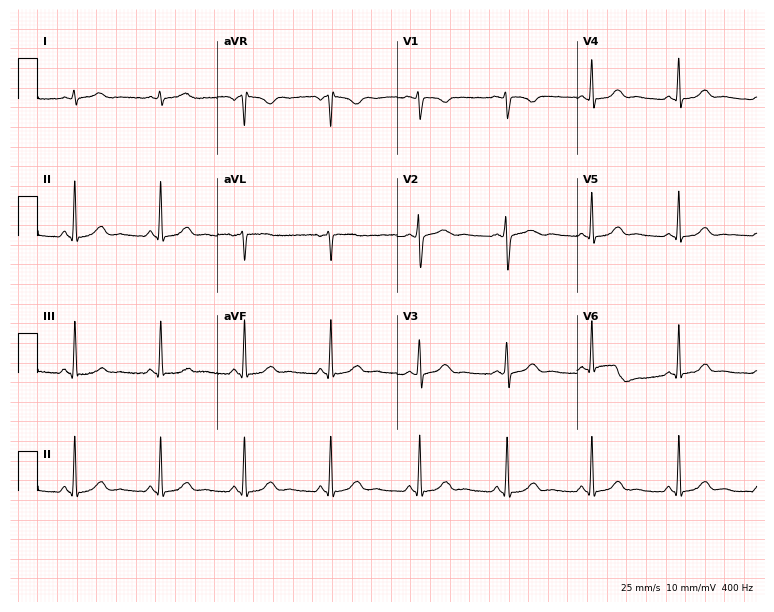
Resting 12-lead electrocardiogram (7.3-second recording at 400 Hz). Patient: a woman, 33 years old. Read as a normal ECG.